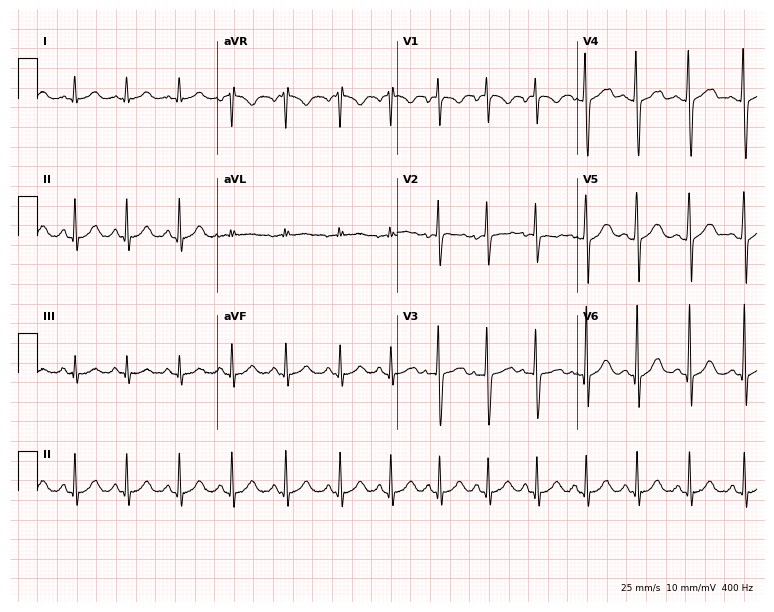
12-lead ECG (7.3-second recording at 400 Hz) from a 31-year-old female patient. Findings include sinus tachycardia (a sinus rate of 100 beats per minute or more).